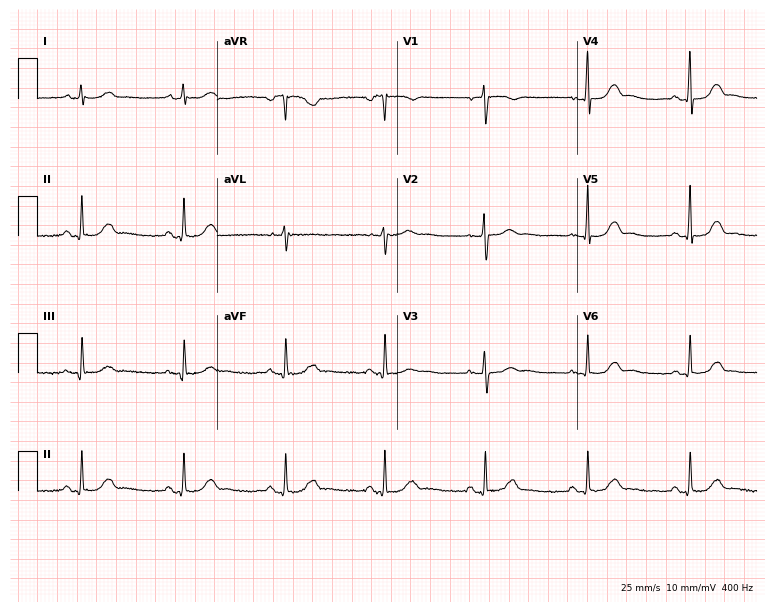
12-lead ECG from a 63-year-old woman. Recorded interpretation: within normal limits.